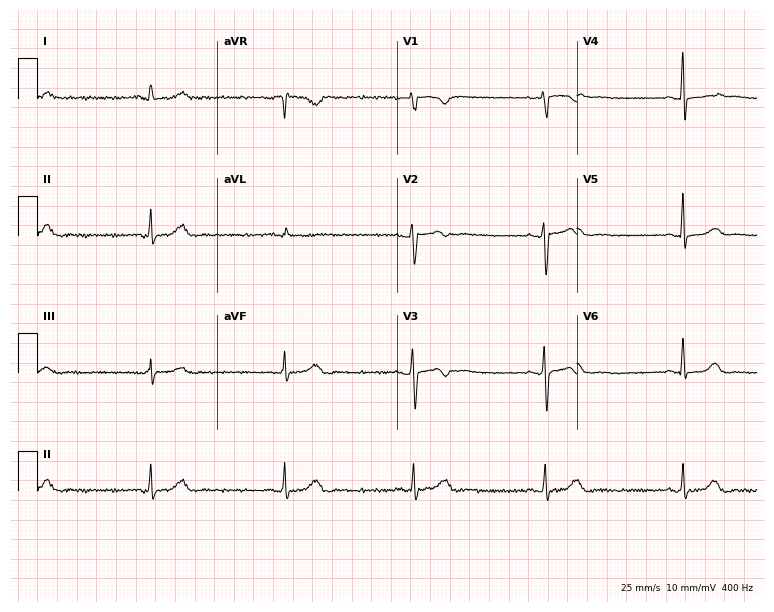
12-lead ECG from a woman, 42 years old. Findings include sinus bradycardia (a sinus rate of 50 beats per minute or less).